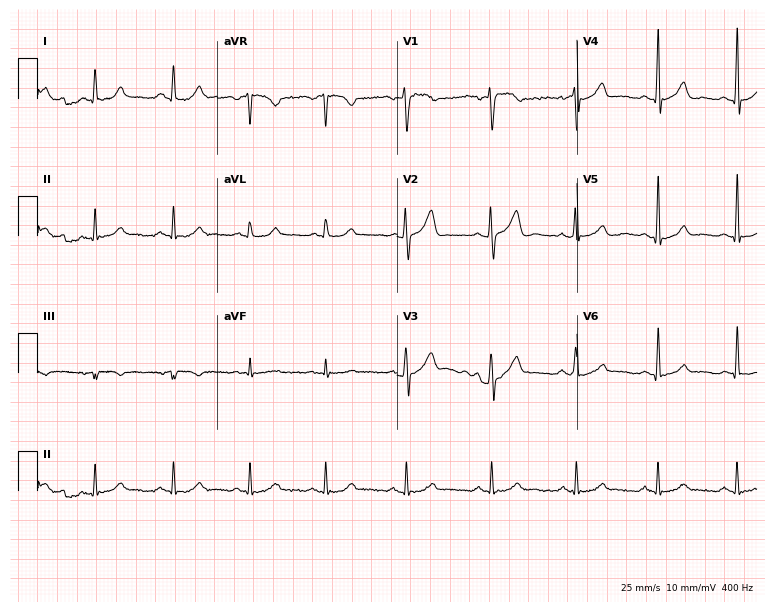
12-lead ECG from a male, 35 years old. Recorded interpretation: within normal limits.